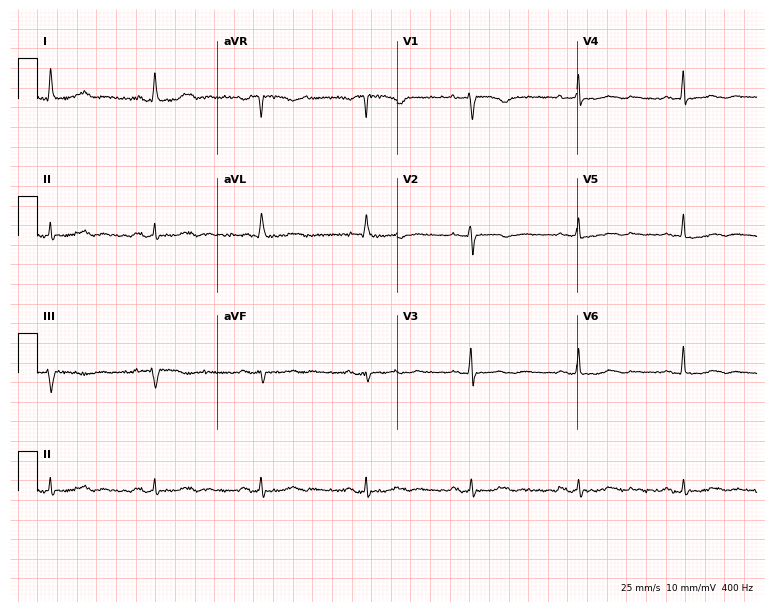
Electrocardiogram, a woman, 69 years old. Of the six screened findings (first-degree AV block, right bundle branch block, left bundle branch block, sinus bradycardia, atrial fibrillation, sinus tachycardia), none is recorded.